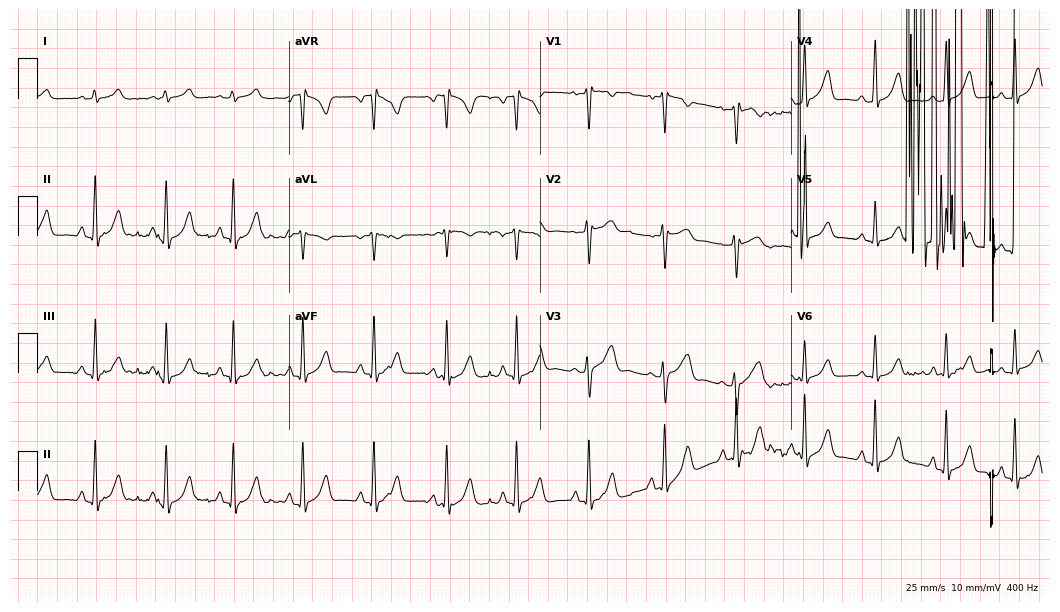
12-lead ECG from a 47-year-old female patient. Screened for six findings — first-degree AV block, right bundle branch block, left bundle branch block, sinus bradycardia, atrial fibrillation, sinus tachycardia — none is recorded.